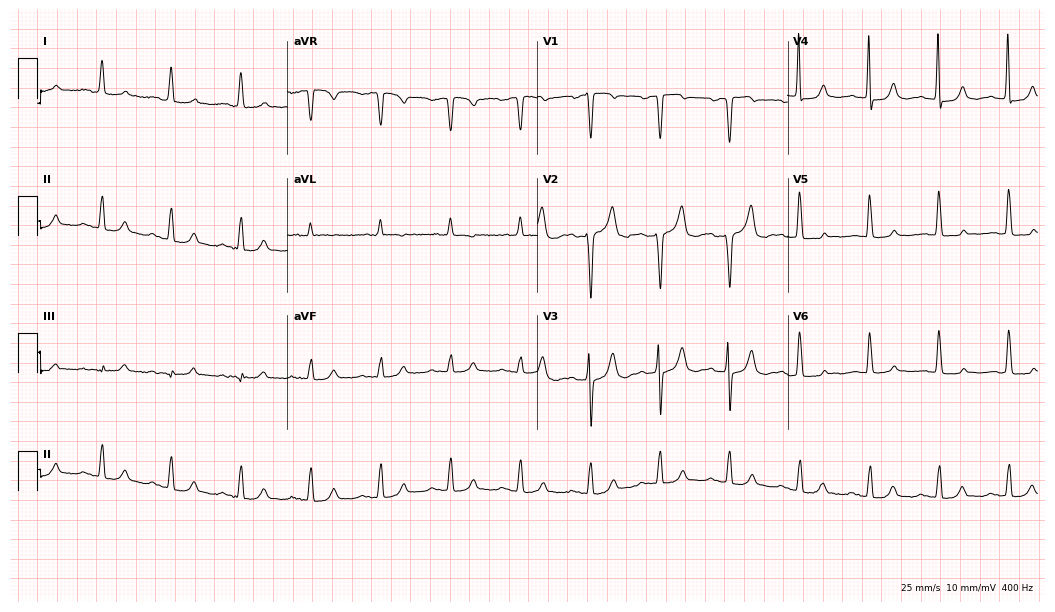
12-lead ECG from a female, 73 years old (10.2-second recording at 400 Hz). No first-degree AV block, right bundle branch block (RBBB), left bundle branch block (LBBB), sinus bradycardia, atrial fibrillation (AF) or sinus tachycardia recorded for this tracing.